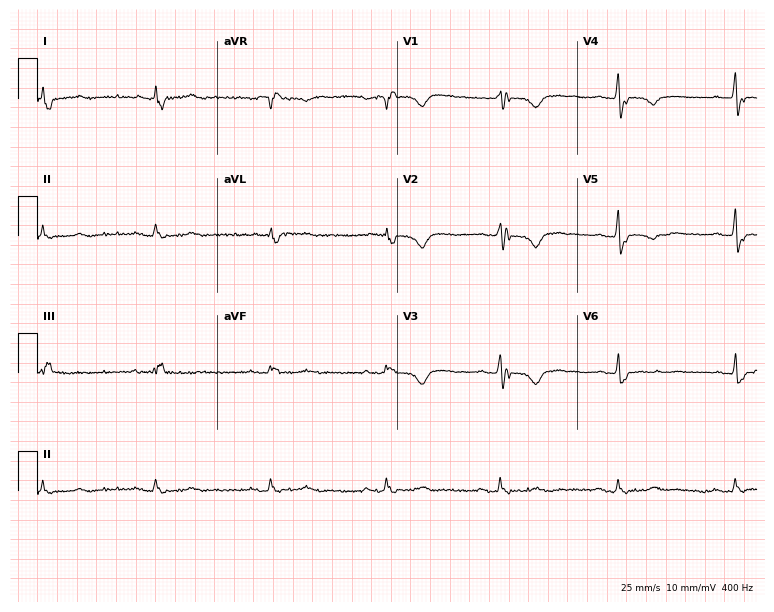
12-lead ECG from a 74-year-old female patient. No first-degree AV block, right bundle branch block (RBBB), left bundle branch block (LBBB), sinus bradycardia, atrial fibrillation (AF) or sinus tachycardia recorded for this tracing. Only these six findings were labelled.